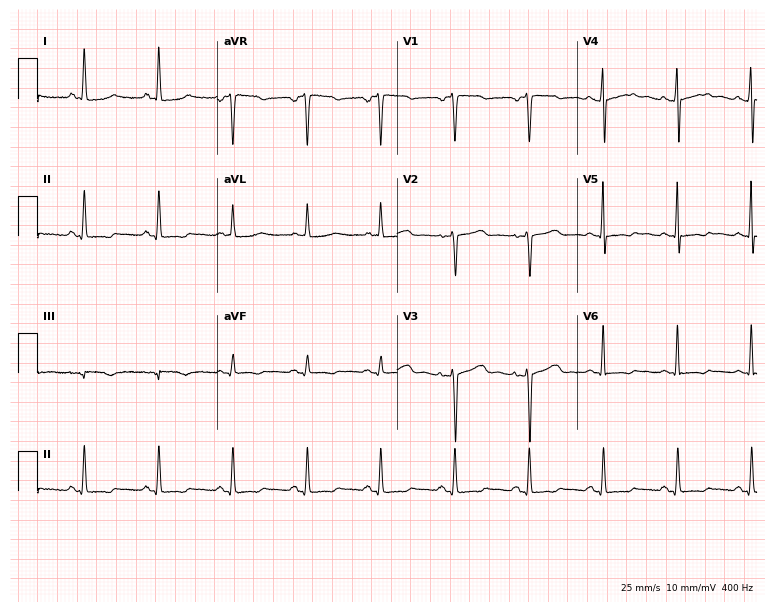
12-lead ECG (7.3-second recording at 400 Hz) from a female patient, 46 years old. Screened for six findings — first-degree AV block, right bundle branch block, left bundle branch block, sinus bradycardia, atrial fibrillation, sinus tachycardia — none is recorded.